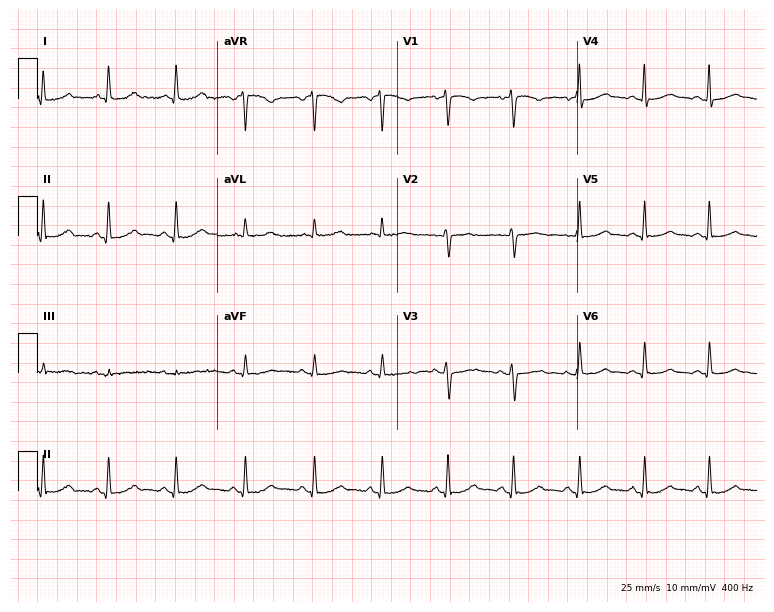
12-lead ECG from a woman, 50 years old. Labelled as a normal ECG.